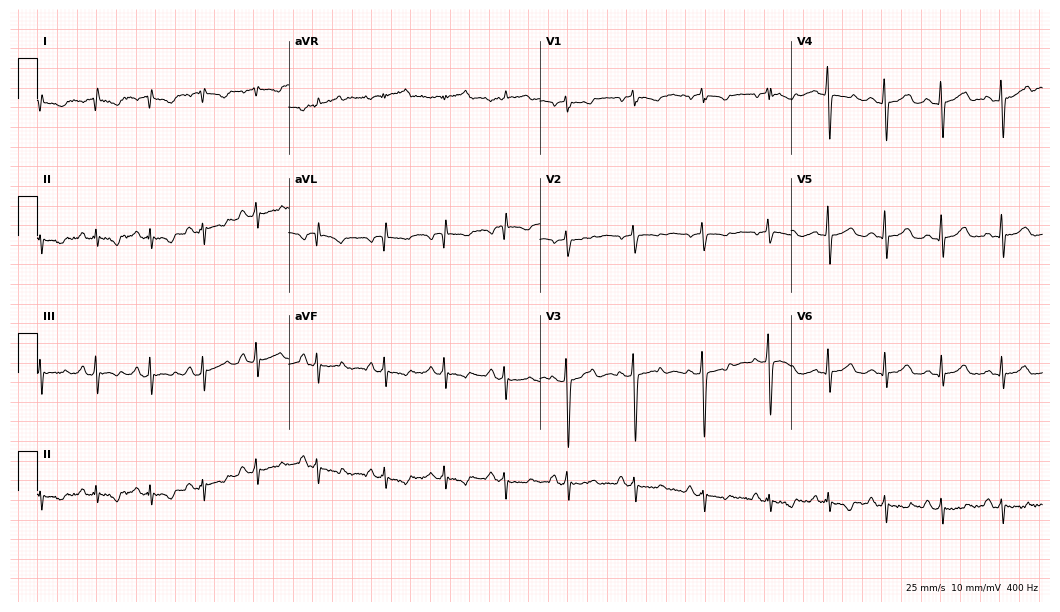
12-lead ECG from a female patient, 32 years old (10.2-second recording at 400 Hz). No first-degree AV block, right bundle branch block, left bundle branch block, sinus bradycardia, atrial fibrillation or sinus tachycardia recorded for this tracing. Findings outside these six are not listed.